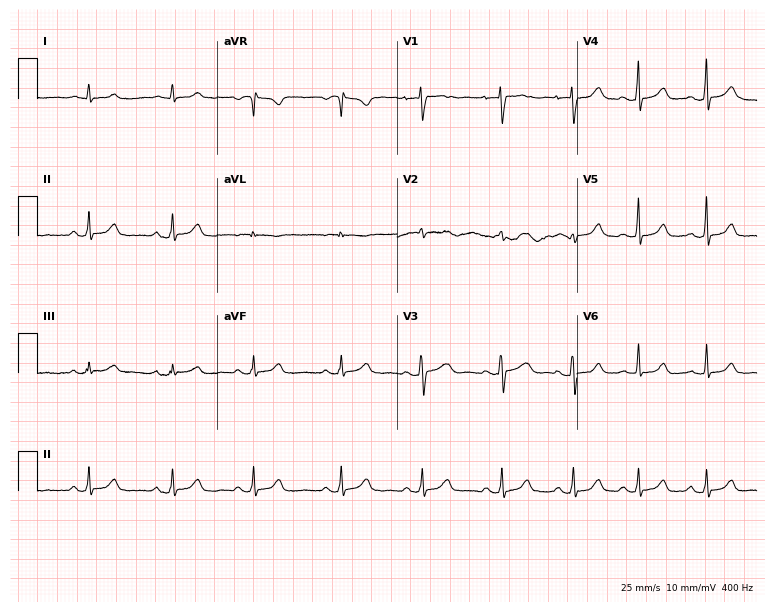
Electrocardiogram, a woman, 19 years old. Of the six screened findings (first-degree AV block, right bundle branch block (RBBB), left bundle branch block (LBBB), sinus bradycardia, atrial fibrillation (AF), sinus tachycardia), none is recorded.